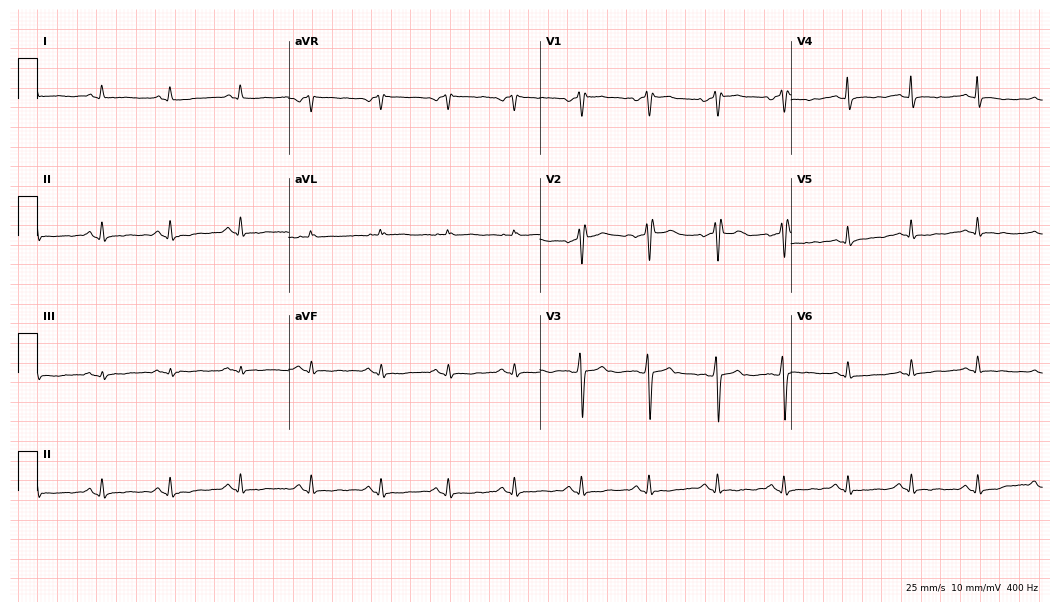
12-lead ECG from a 39-year-old female (10.2-second recording at 400 Hz). No first-degree AV block, right bundle branch block, left bundle branch block, sinus bradycardia, atrial fibrillation or sinus tachycardia recorded for this tracing.